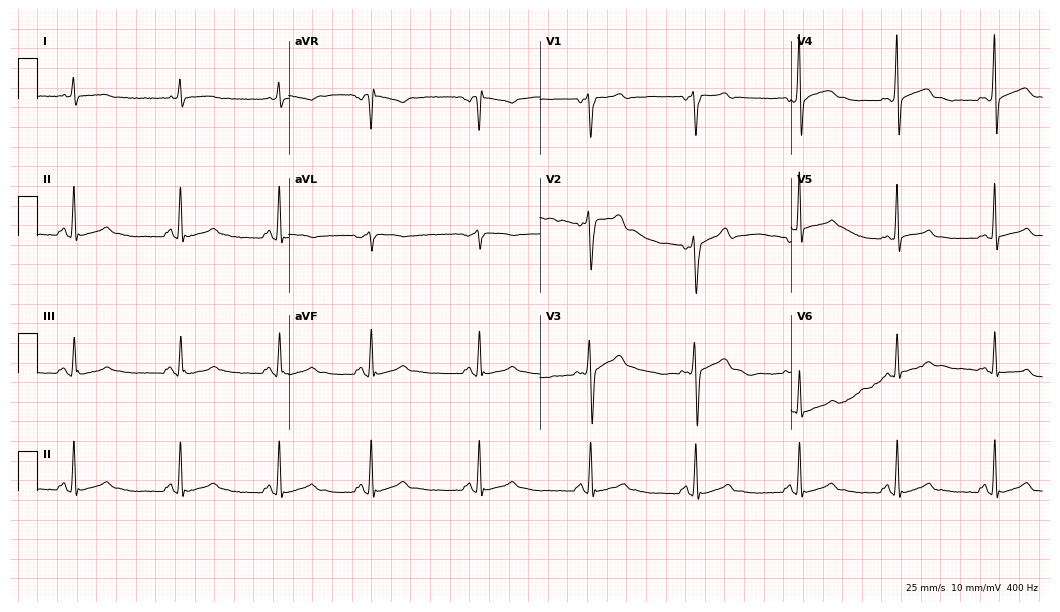
Standard 12-lead ECG recorded from a 26-year-old male. None of these six findings is recorded: first-degree AV block, right bundle branch block (RBBB), left bundle branch block (LBBB), sinus bradycardia, atrial fibrillation (AF), sinus tachycardia. Findings outside these six are not listed.